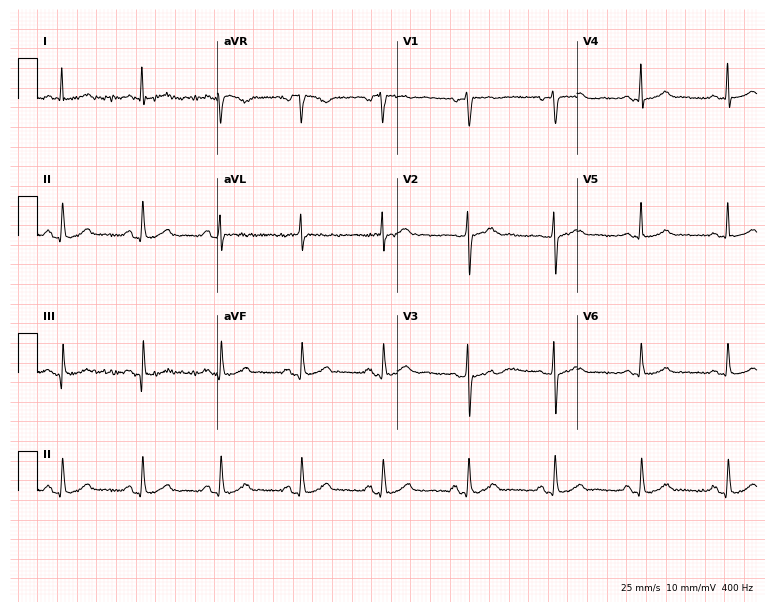
Electrocardiogram (7.3-second recording at 400 Hz), a 50-year-old woman. Overall reading on record: normal ECG.